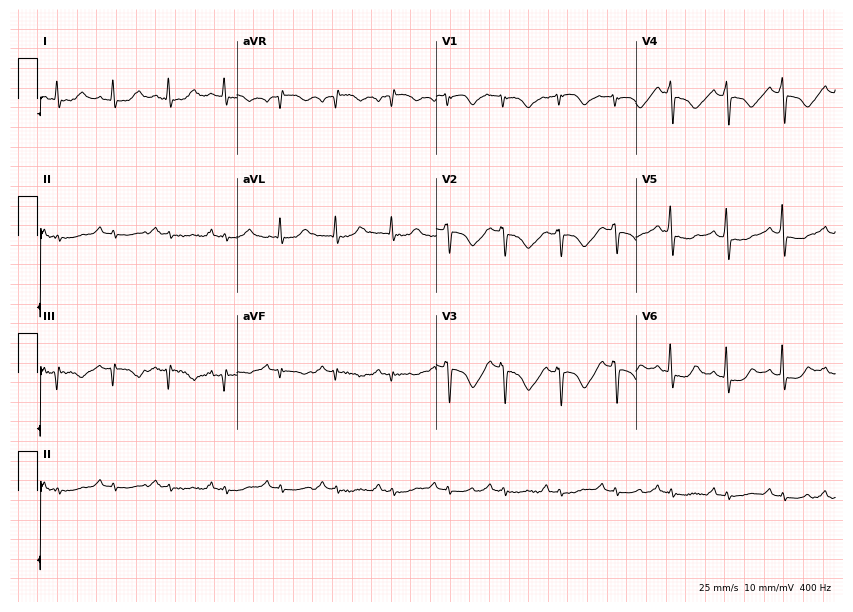
ECG — a woman, 82 years old. Screened for six findings — first-degree AV block, right bundle branch block, left bundle branch block, sinus bradycardia, atrial fibrillation, sinus tachycardia — none is recorded. Other findings, if any, are not listed.